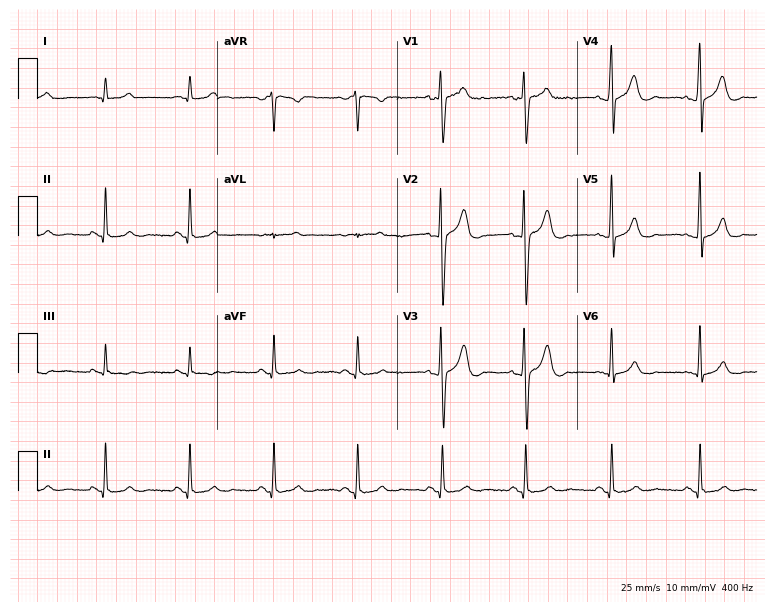
ECG — a 31-year-old man. Labelled as a normal ECG.